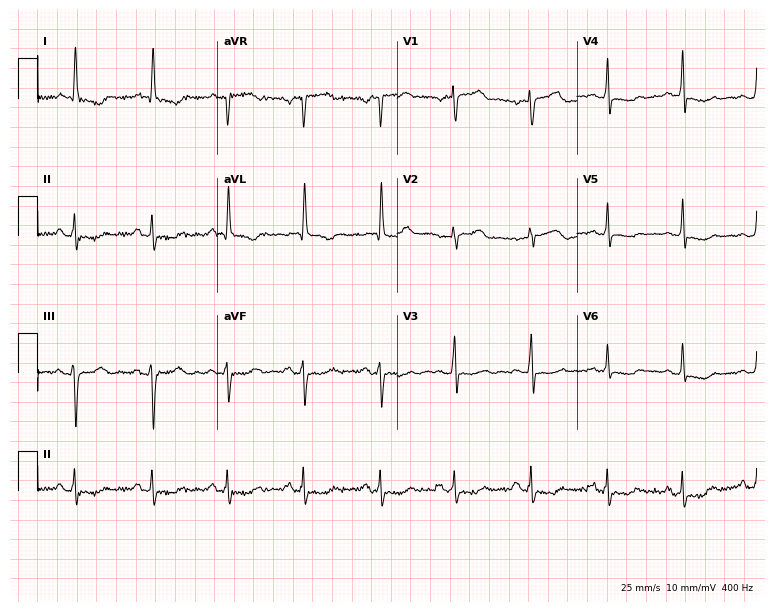
Electrocardiogram (7.3-second recording at 400 Hz), a 62-year-old female. Of the six screened findings (first-degree AV block, right bundle branch block, left bundle branch block, sinus bradycardia, atrial fibrillation, sinus tachycardia), none is recorded.